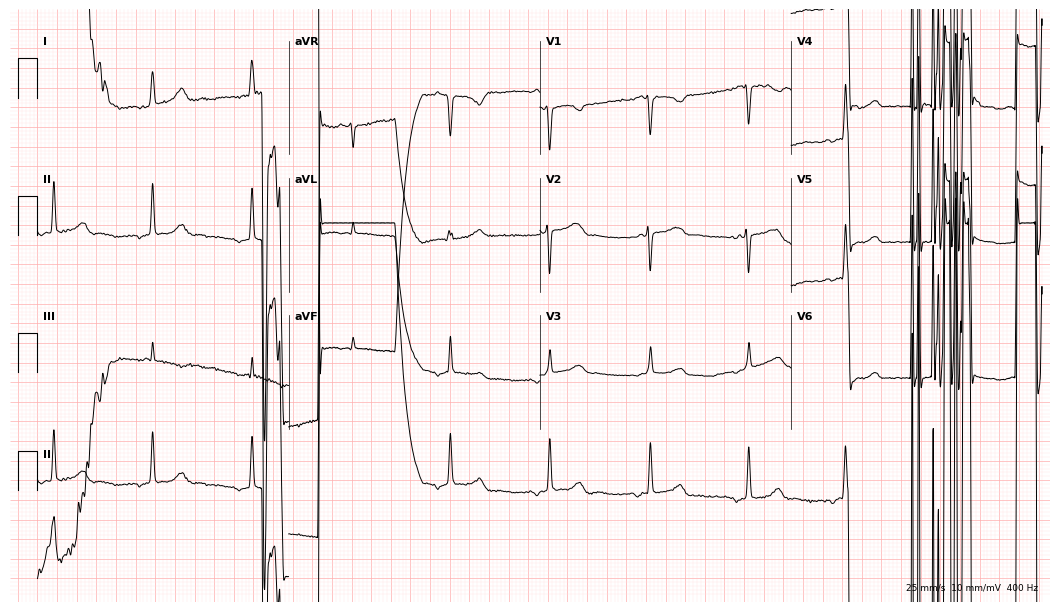
Standard 12-lead ECG recorded from a 29-year-old woman (10.2-second recording at 400 Hz). None of these six findings is recorded: first-degree AV block, right bundle branch block (RBBB), left bundle branch block (LBBB), sinus bradycardia, atrial fibrillation (AF), sinus tachycardia.